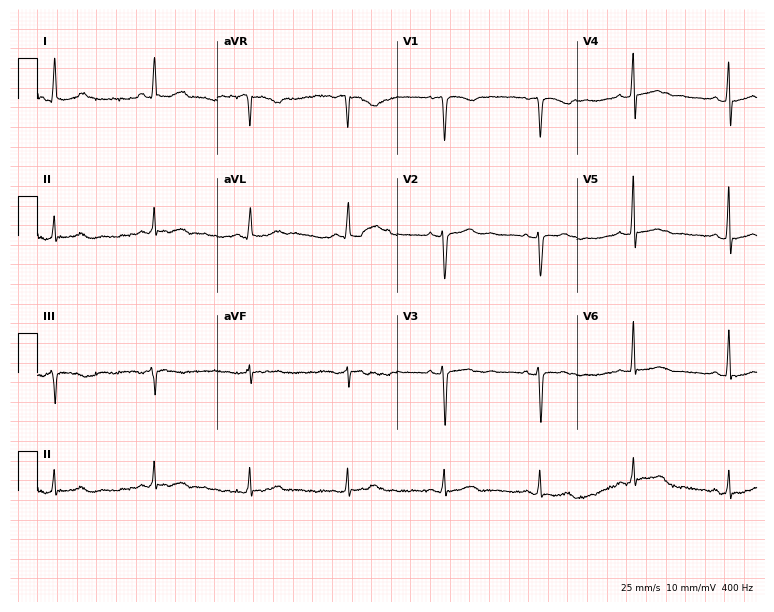
ECG — a 61-year-old woman. Screened for six findings — first-degree AV block, right bundle branch block (RBBB), left bundle branch block (LBBB), sinus bradycardia, atrial fibrillation (AF), sinus tachycardia — none is recorded. Findings outside these six are not listed.